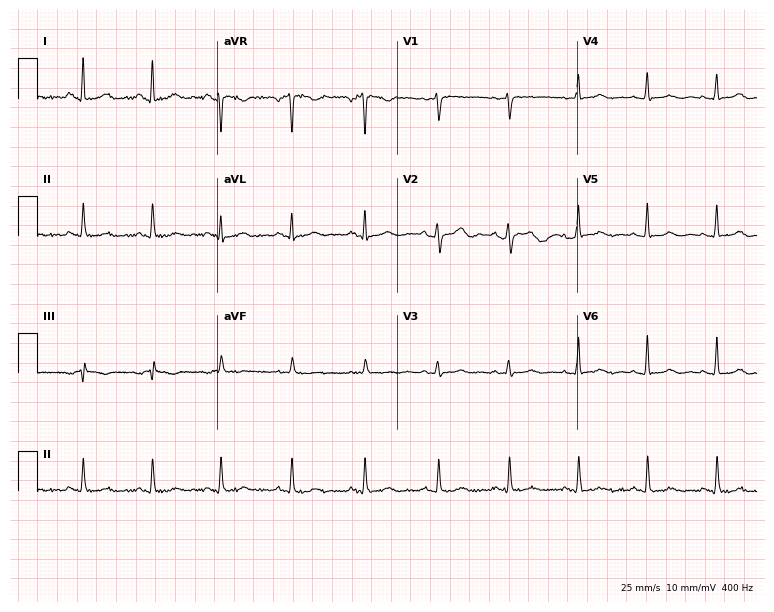
ECG (7.3-second recording at 400 Hz) — a 40-year-old woman. Labelled as a normal ECG.